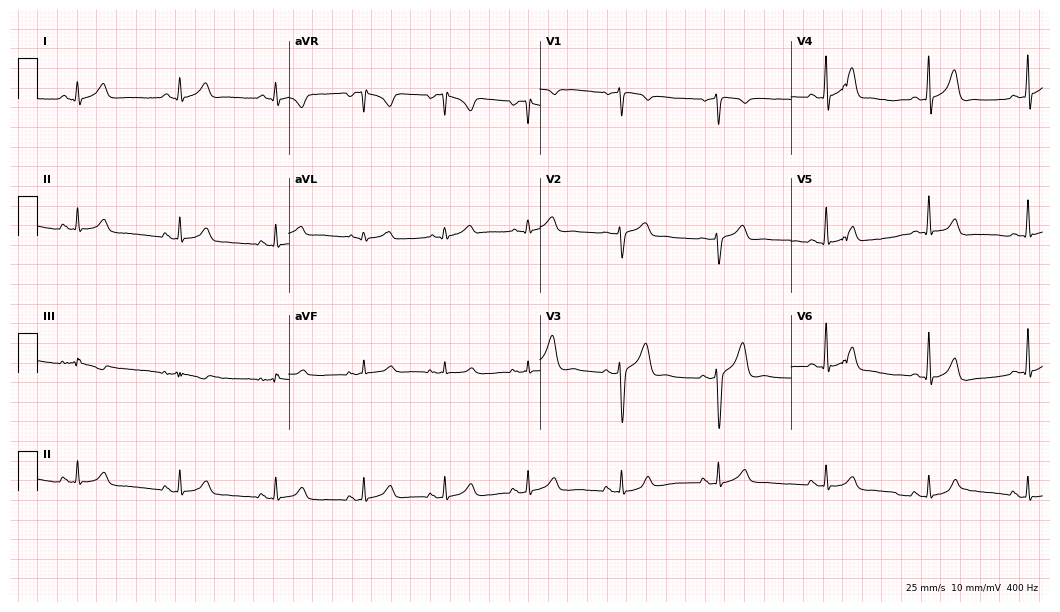
Standard 12-lead ECG recorded from a man, 40 years old (10.2-second recording at 400 Hz). Read as a normal ECG.